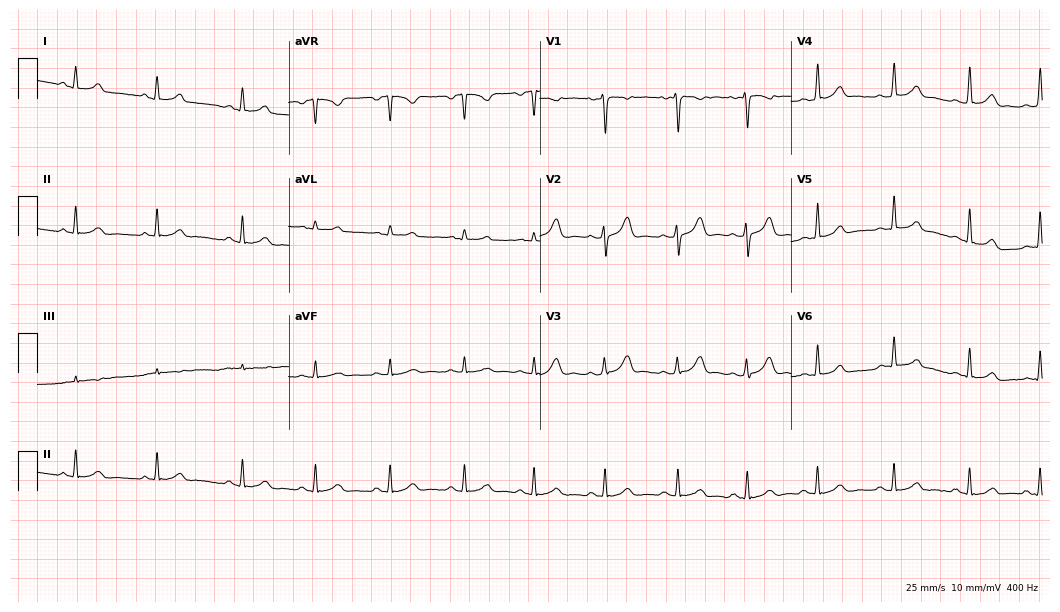
12-lead ECG from a female patient, 22 years old. Recorded interpretation: within normal limits.